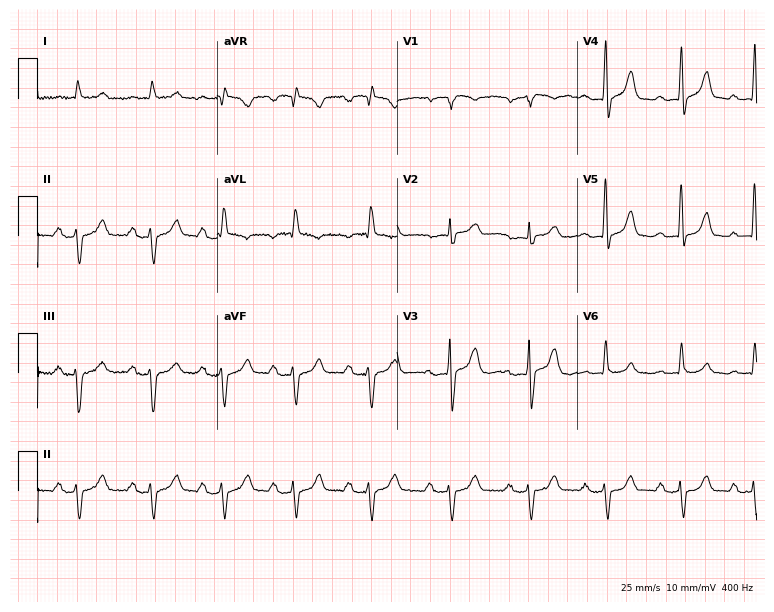
12-lead ECG (7.3-second recording at 400 Hz) from a 73-year-old man. Findings include first-degree AV block.